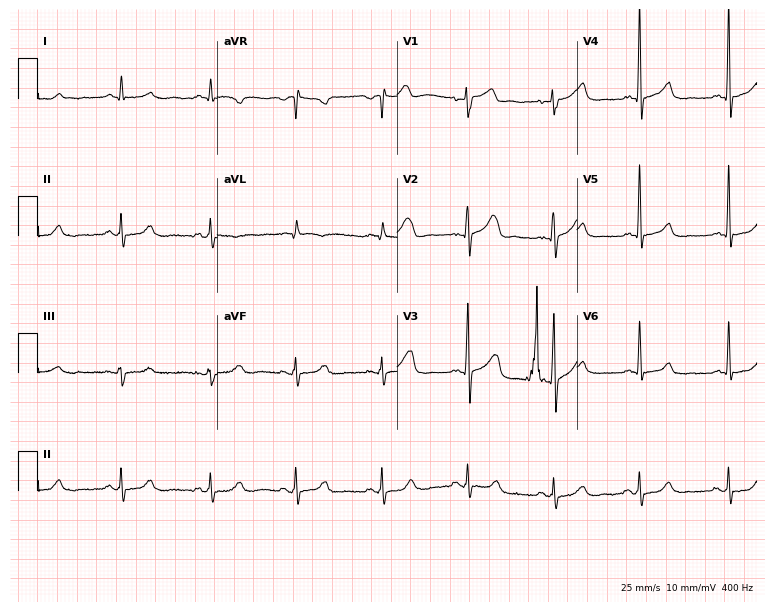
12-lead ECG from a female, 52 years old. Labelled as a normal ECG.